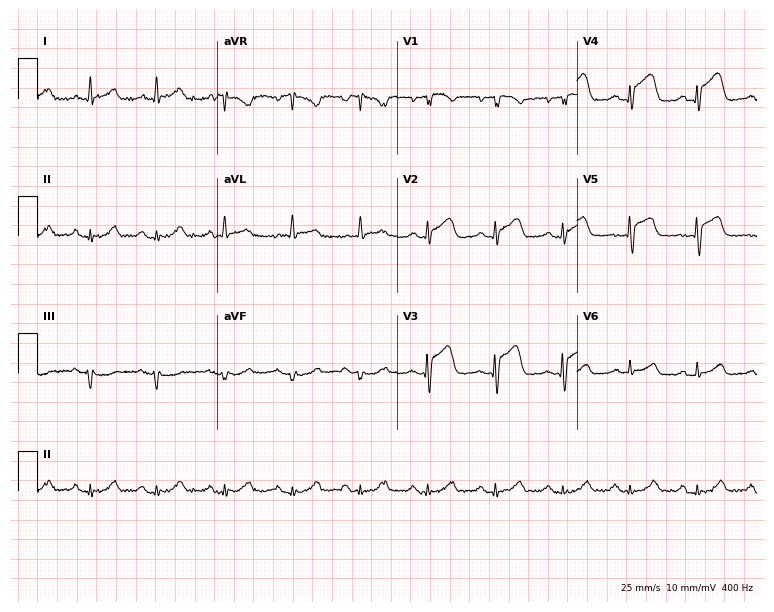
Electrocardiogram (7.3-second recording at 400 Hz), a male patient, 65 years old. Of the six screened findings (first-degree AV block, right bundle branch block, left bundle branch block, sinus bradycardia, atrial fibrillation, sinus tachycardia), none is recorded.